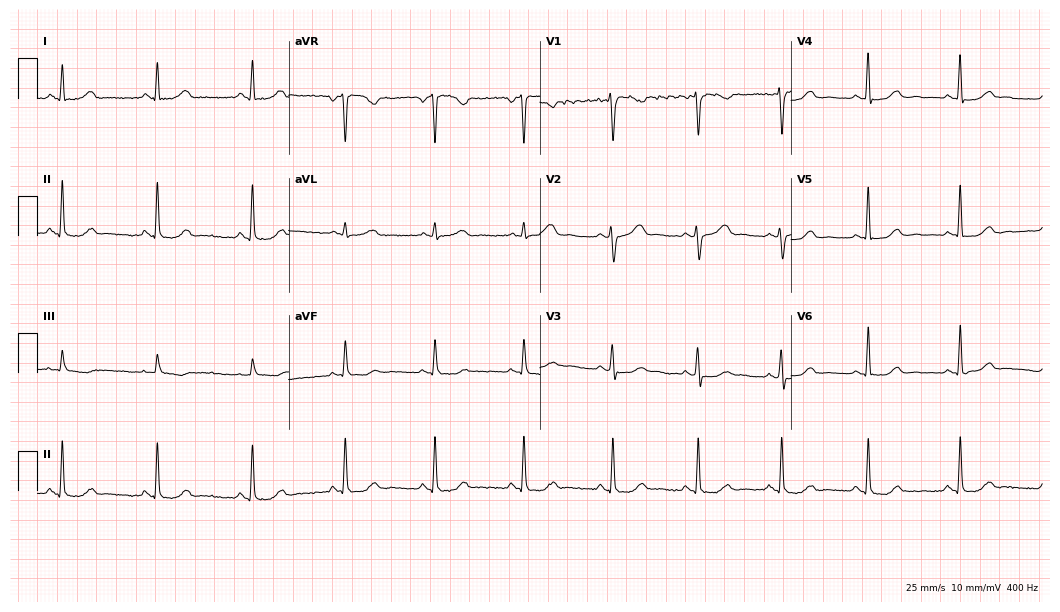
12-lead ECG from a 31-year-old female. Screened for six findings — first-degree AV block, right bundle branch block, left bundle branch block, sinus bradycardia, atrial fibrillation, sinus tachycardia — none is recorded.